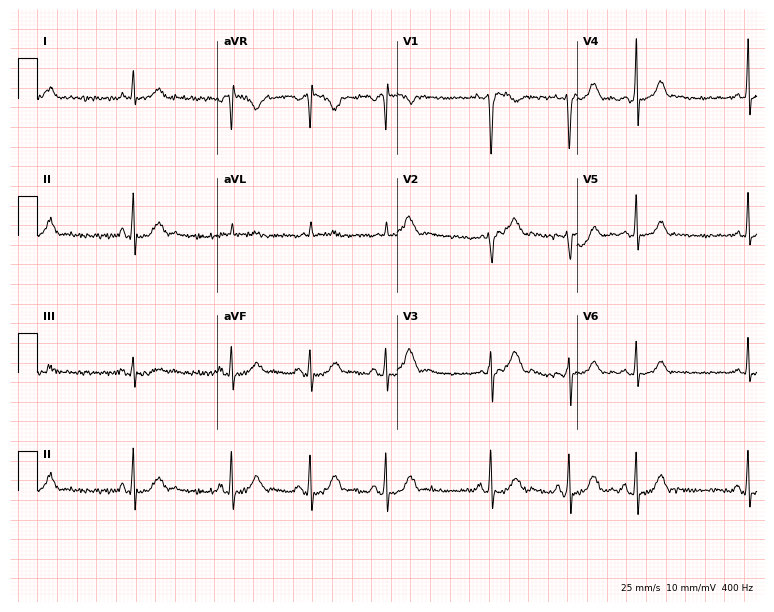
ECG (7.3-second recording at 400 Hz) — a woman, 25 years old. Screened for six findings — first-degree AV block, right bundle branch block (RBBB), left bundle branch block (LBBB), sinus bradycardia, atrial fibrillation (AF), sinus tachycardia — none is recorded. Only these six findings were labelled.